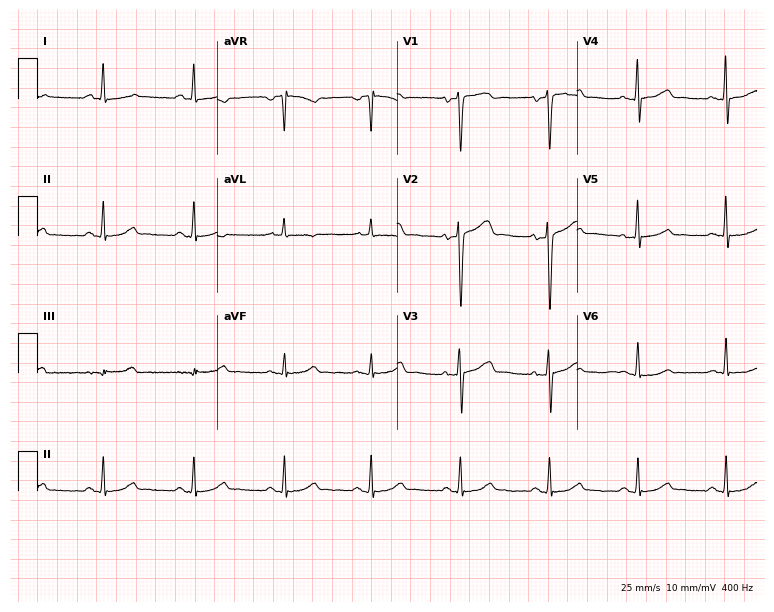
12-lead ECG from a female, 43 years old. Screened for six findings — first-degree AV block, right bundle branch block (RBBB), left bundle branch block (LBBB), sinus bradycardia, atrial fibrillation (AF), sinus tachycardia — none is recorded. Only these six findings were labelled.